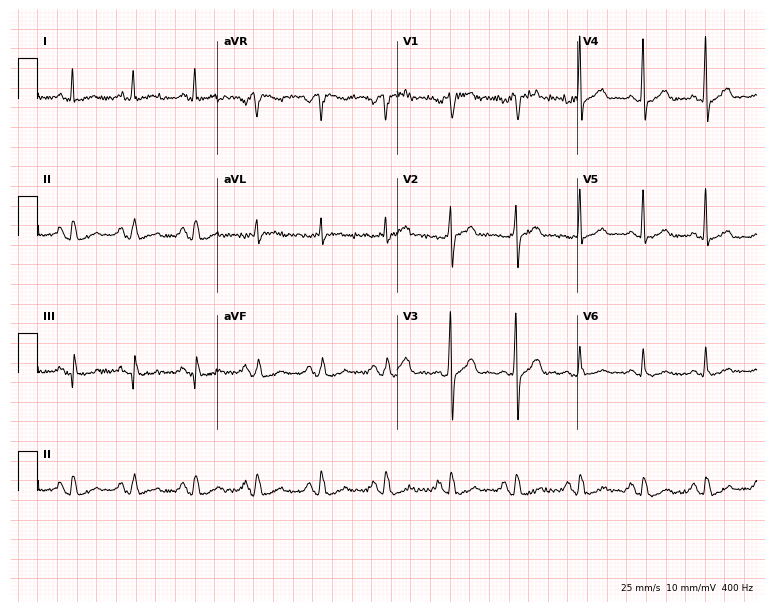
Standard 12-lead ECG recorded from a 59-year-old man (7.3-second recording at 400 Hz). Read as a normal ECG.